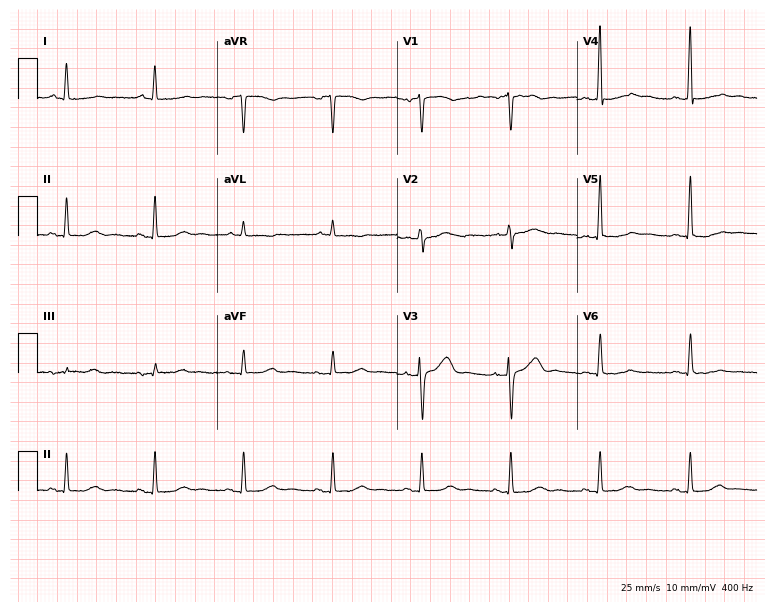
Standard 12-lead ECG recorded from a 64-year-old male patient (7.3-second recording at 400 Hz). None of these six findings is recorded: first-degree AV block, right bundle branch block, left bundle branch block, sinus bradycardia, atrial fibrillation, sinus tachycardia. Only these six findings were labelled.